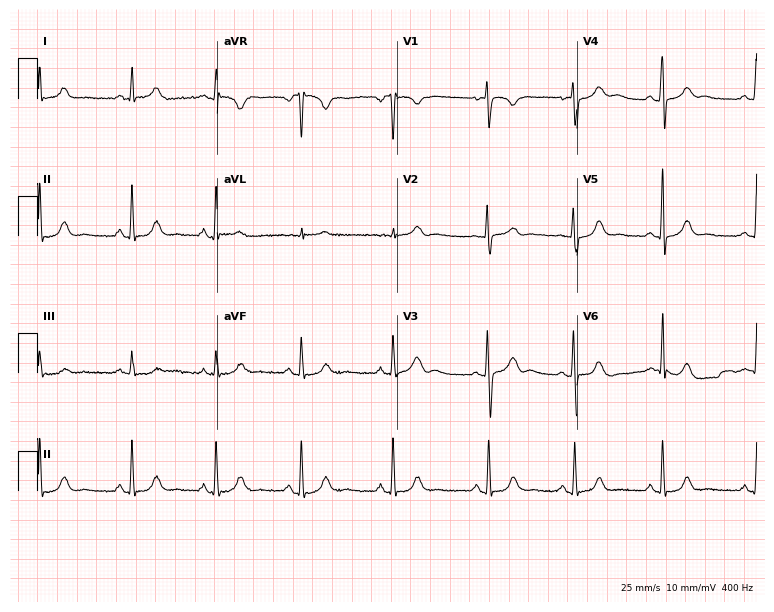
12-lead ECG from a female patient, 29 years old. Labelled as a normal ECG.